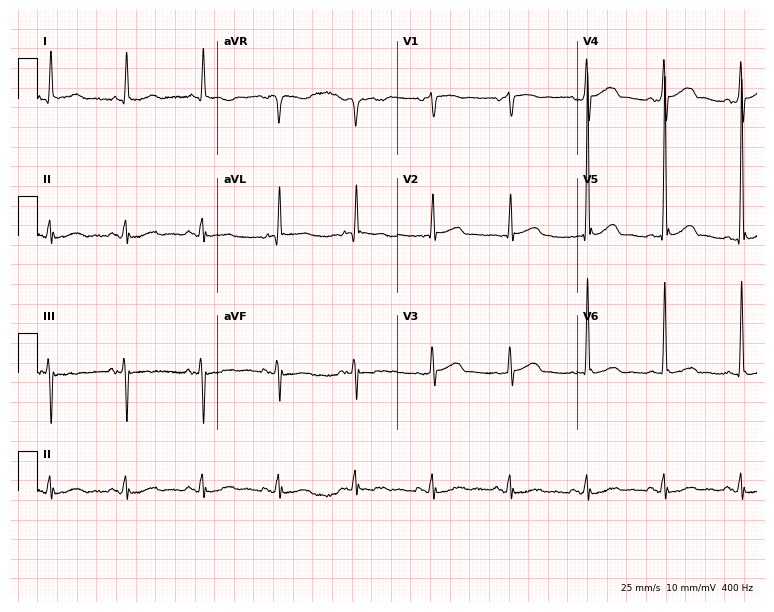
Electrocardiogram, a man, 83 years old. Of the six screened findings (first-degree AV block, right bundle branch block, left bundle branch block, sinus bradycardia, atrial fibrillation, sinus tachycardia), none is recorded.